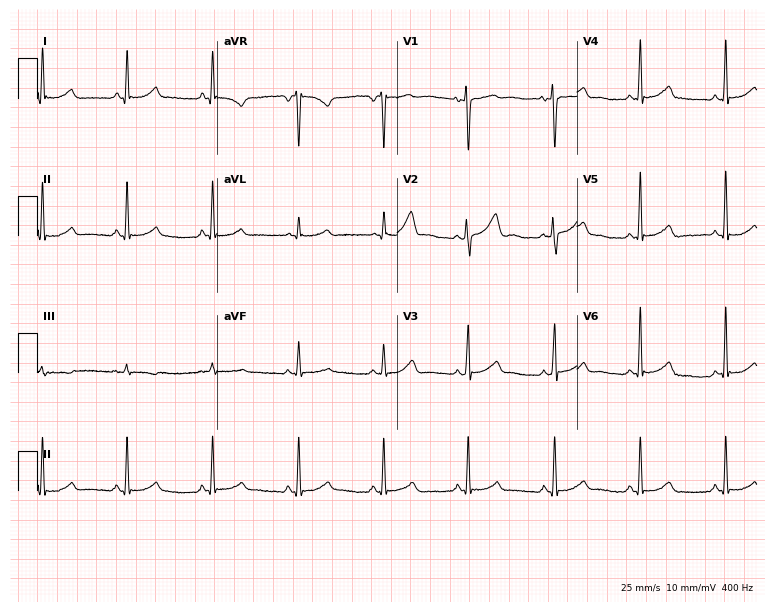
12-lead ECG from a 44-year-old female patient (7.3-second recording at 400 Hz). No first-degree AV block, right bundle branch block, left bundle branch block, sinus bradycardia, atrial fibrillation or sinus tachycardia recorded for this tracing. Findings outside these six are not listed.